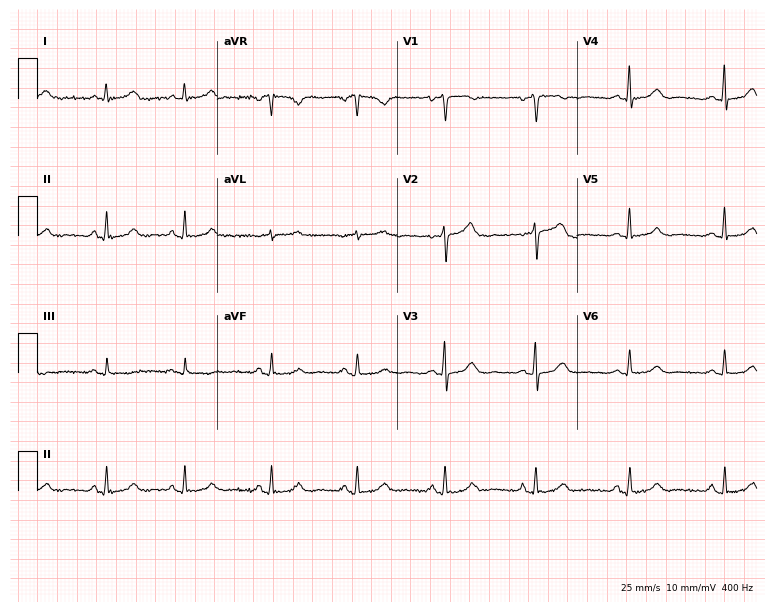
Electrocardiogram (7.3-second recording at 400 Hz), a 56-year-old female patient. Overall reading on record: normal ECG.